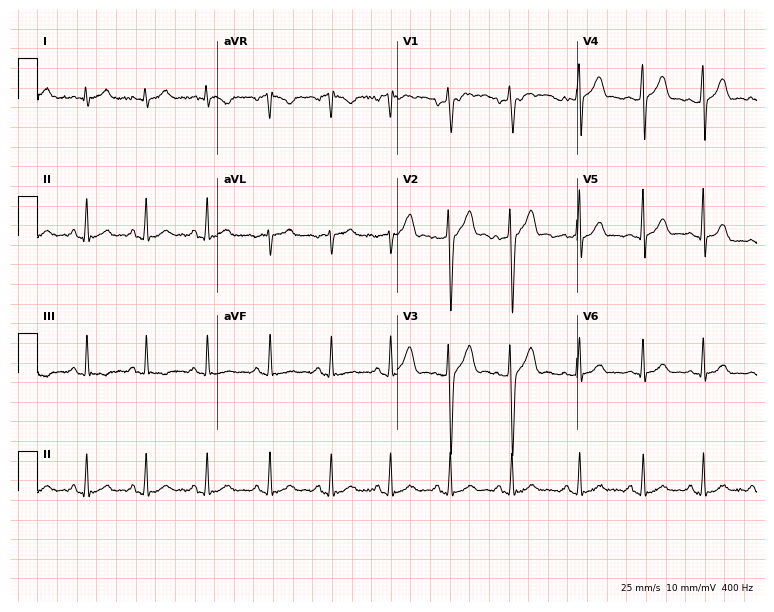
12-lead ECG from a man, 22 years old. Recorded interpretation: within normal limits.